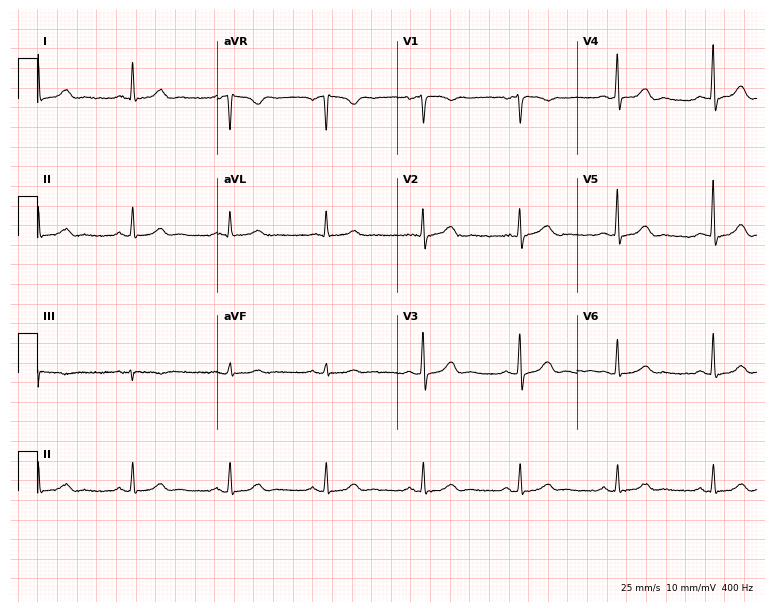
Resting 12-lead electrocardiogram (7.3-second recording at 400 Hz). Patient: a 69-year-old woman. Read as a normal ECG.